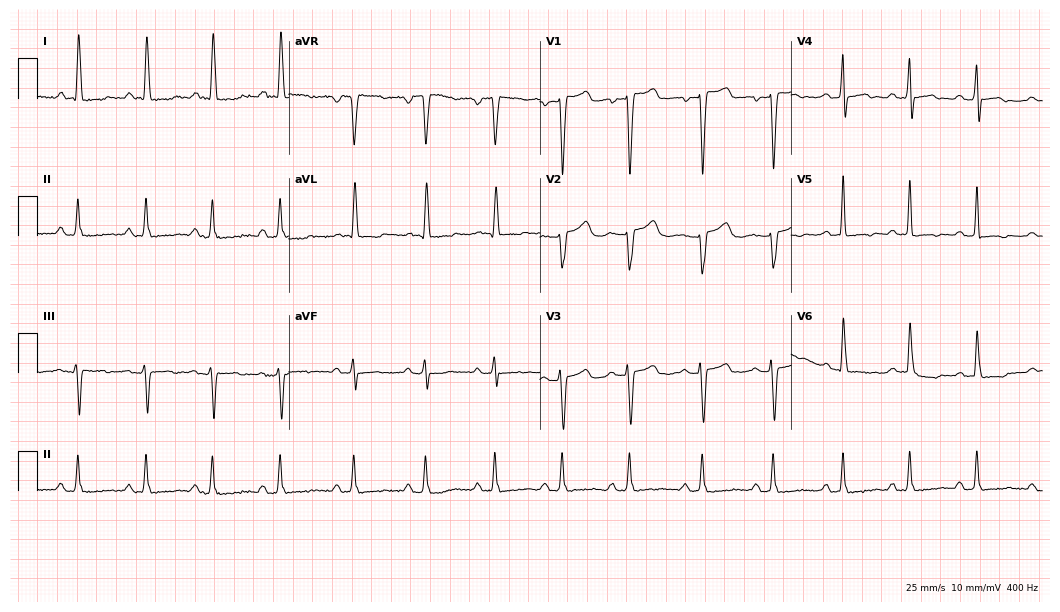
Electrocardiogram, a 55-year-old woman. Of the six screened findings (first-degree AV block, right bundle branch block, left bundle branch block, sinus bradycardia, atrial fibrillation, sinus tachycardia), none is recorded. Other findings, if any, are not listed.